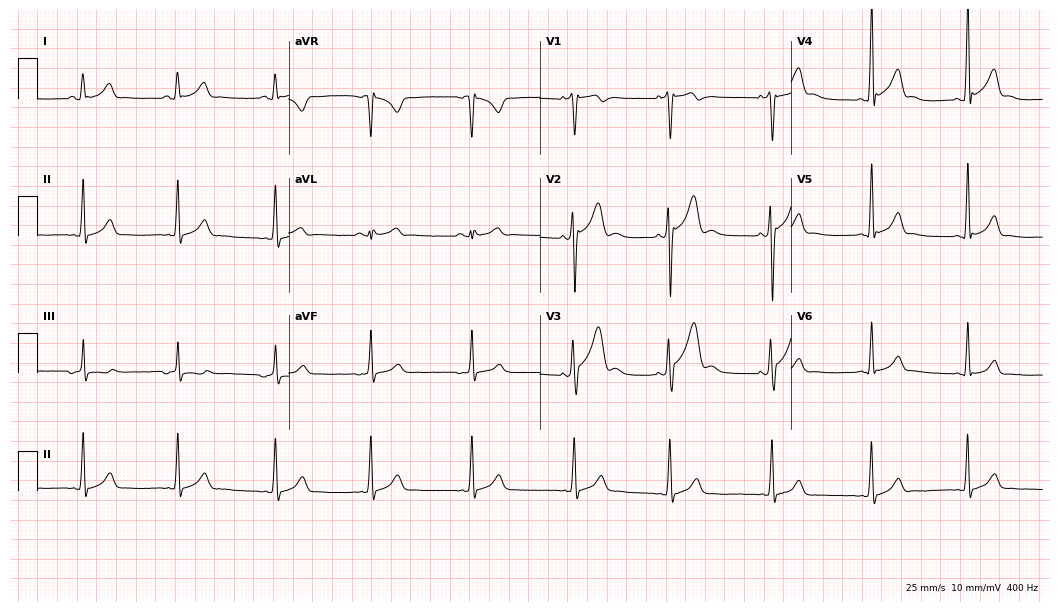
Standard 12-lead ECG recorded from a 22-year-old male. Read as a normal ECG.